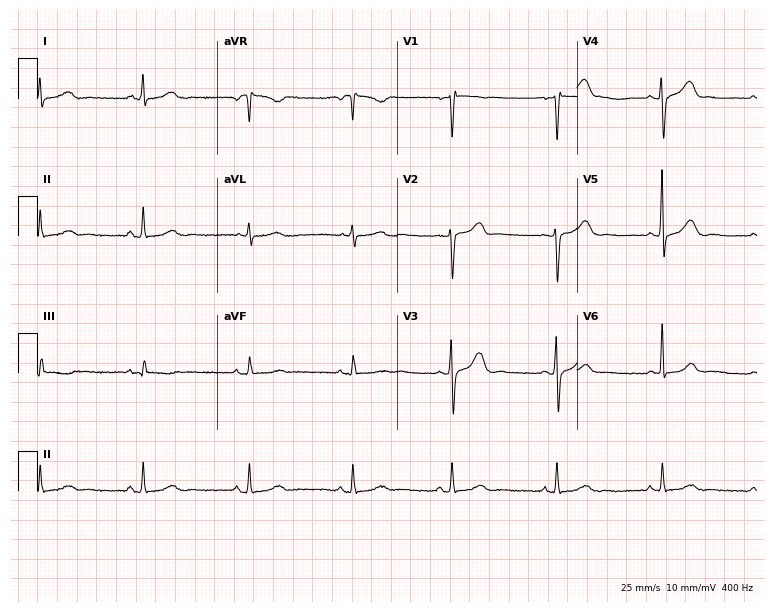
Standard 12-lead ECG recorded from a 41-year-old female patient. Read as a normal ECG.